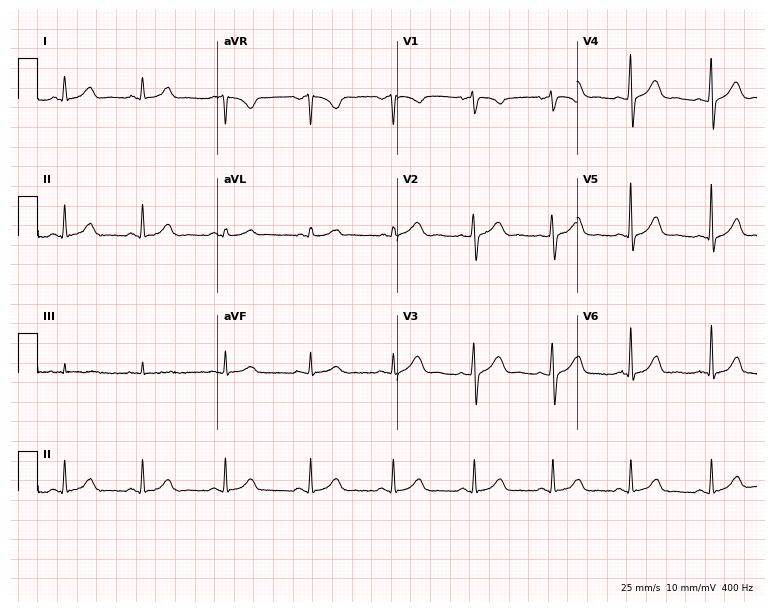
ECG (7.3-second recording at 400 Hz) — a woman, 40 years old. Labelled as a normal ECG.